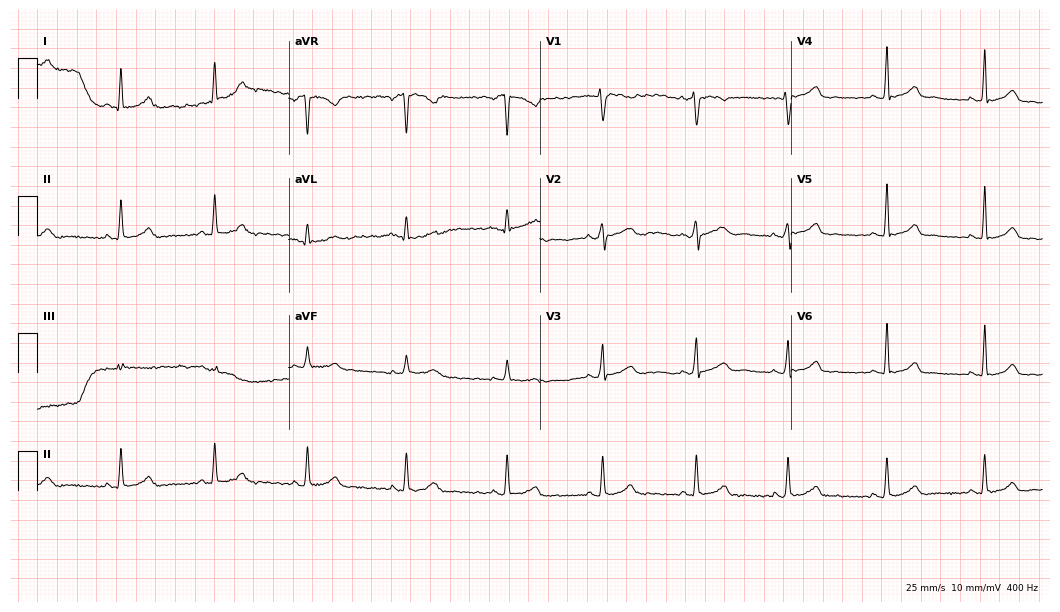
Standard 12-lead ECG recorded from a female patient, 35 years old. Read as a normal ECG.